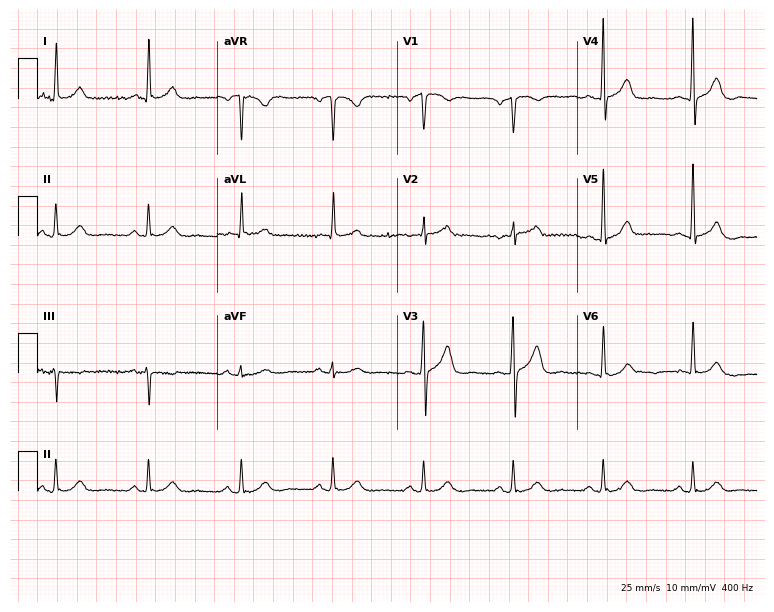
12-lead ECG (7.3-second recording at 400 Hz) from a man, 70 years old. Screened for six findings — first-degree AV block, right bundle branch block, left bundle branch block, sinus bradycardia, atrial fibrillation, sinus tachycardia — none is recorded.